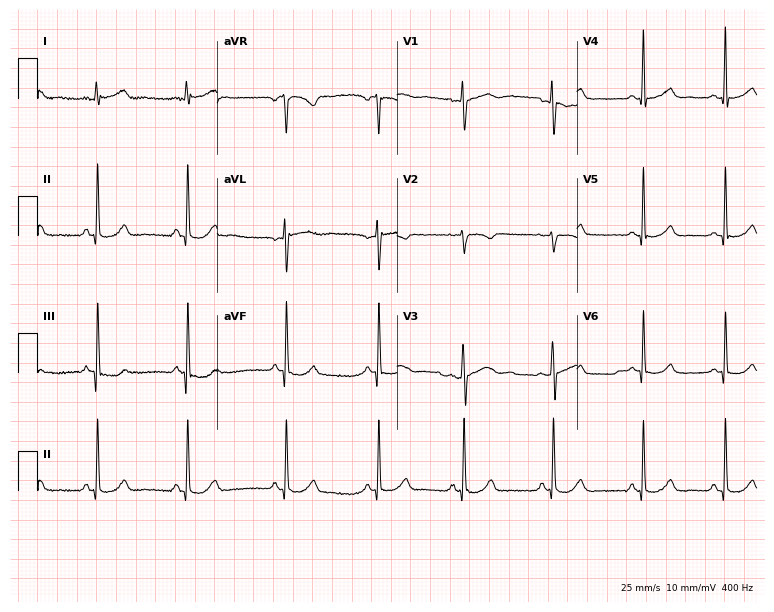
Resting 12-lead electrocardiogram. Patient: a female, 20 years old. Read as a normal ECG.